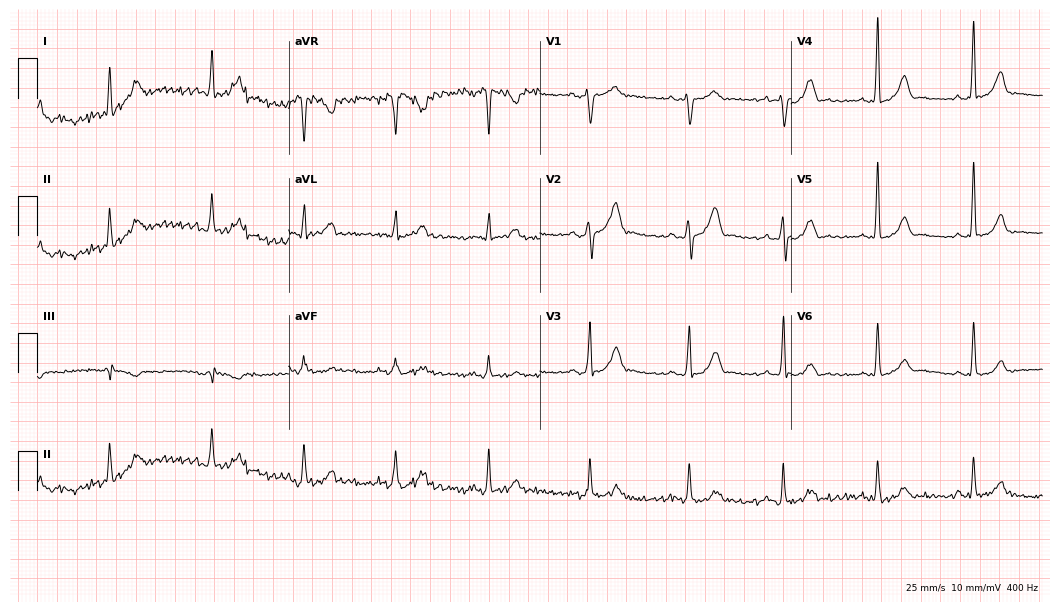
Resting 12-lead electrocardiogram. Patient: a 38-year-old male. Read as a normal ECG.